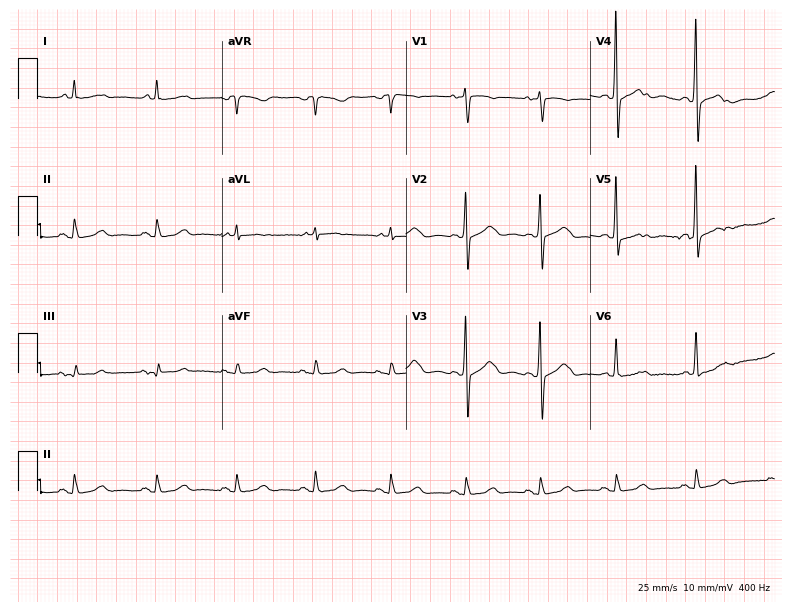
ECG — a female patient, 81 years old. Labelled as a normal ECG.